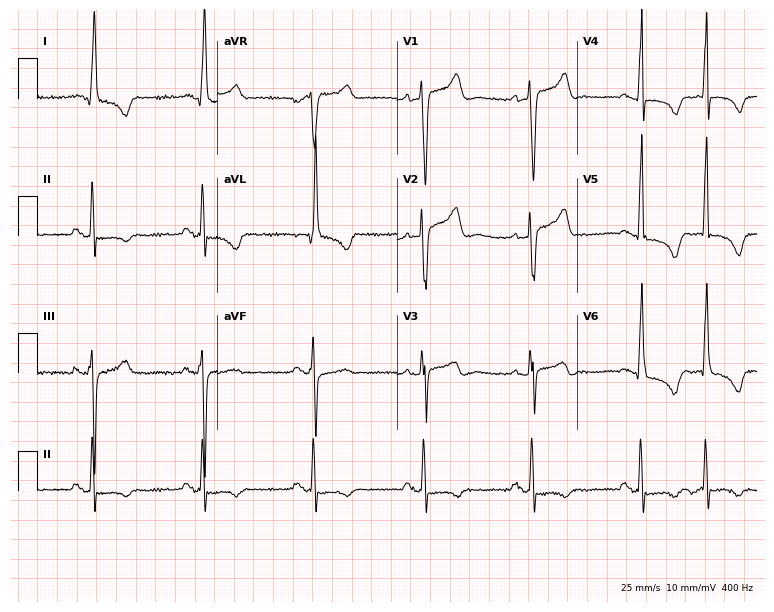
12-lead ECG (7.3-second recording at 400 Hz) from a female patient, 66 years old. Screened for six findings — first-degree AV block, right bundle branch block, left bundle branch block, sinus bradycardia, atrial fibrillation, sinus tachycardia — none is recorded. Other findings, if any, are not listed.